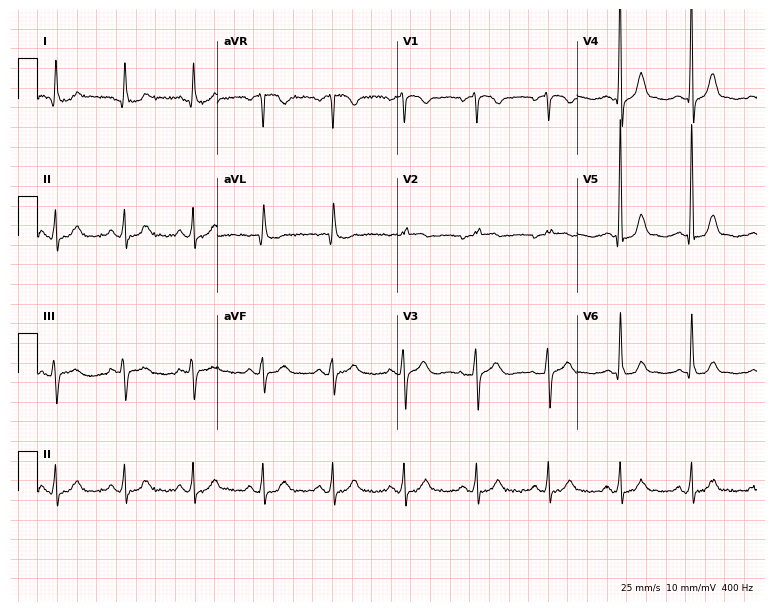
ECG — a female, 78 years old. Screened for six findings — first-degree AV block, right bundle branch block (RBBB), left bundle branch block (LBBB), sinus bradycardia, atrial fibrillation (AF), sinus tachycardia — none is recorded. Only these six findings were labelled.